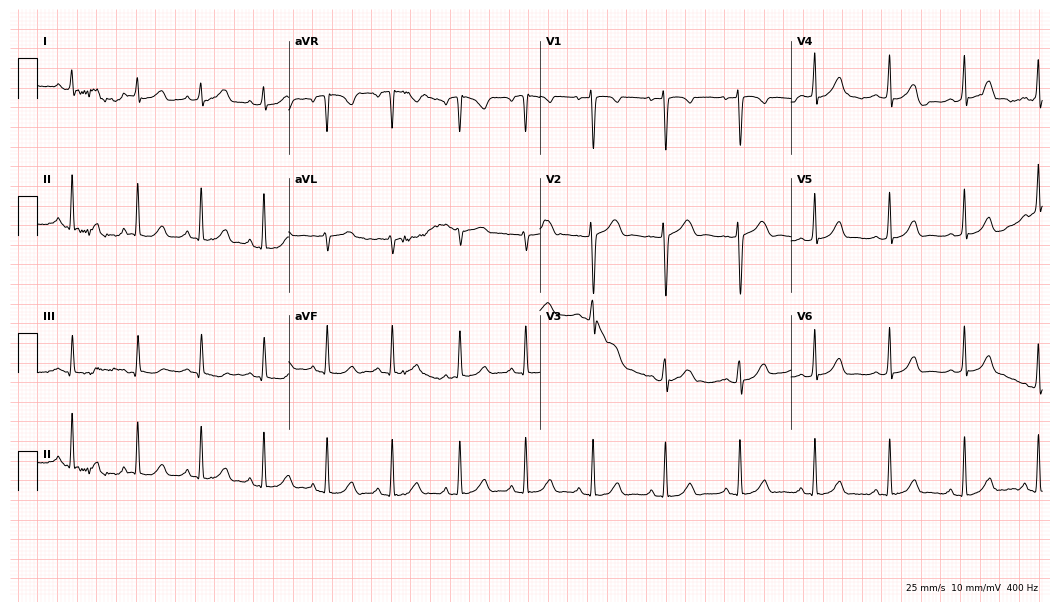
Standard 12-lead ECG recorded from a 20-year-old woman. None of these six findings is recorded: first-degree AV block, right bundle branch block, left bundle branch block, sinus bradycardia, atrial fibrillation, sinus tachycardia. Only these six findings were labelled.